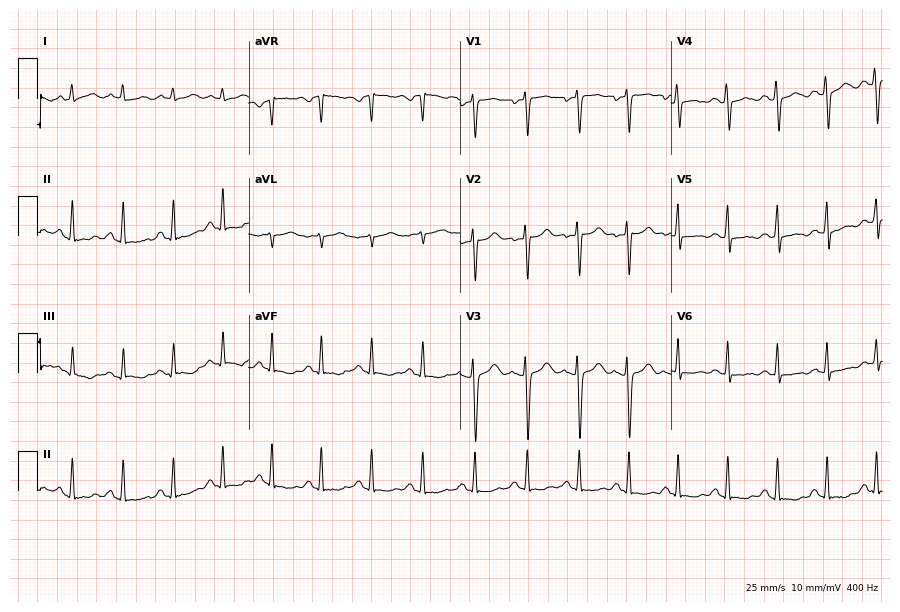
12-lead ECG from a female, 22 years old. Shows sinus tachycardia (a sinus rate of 100 beats per minute or more).